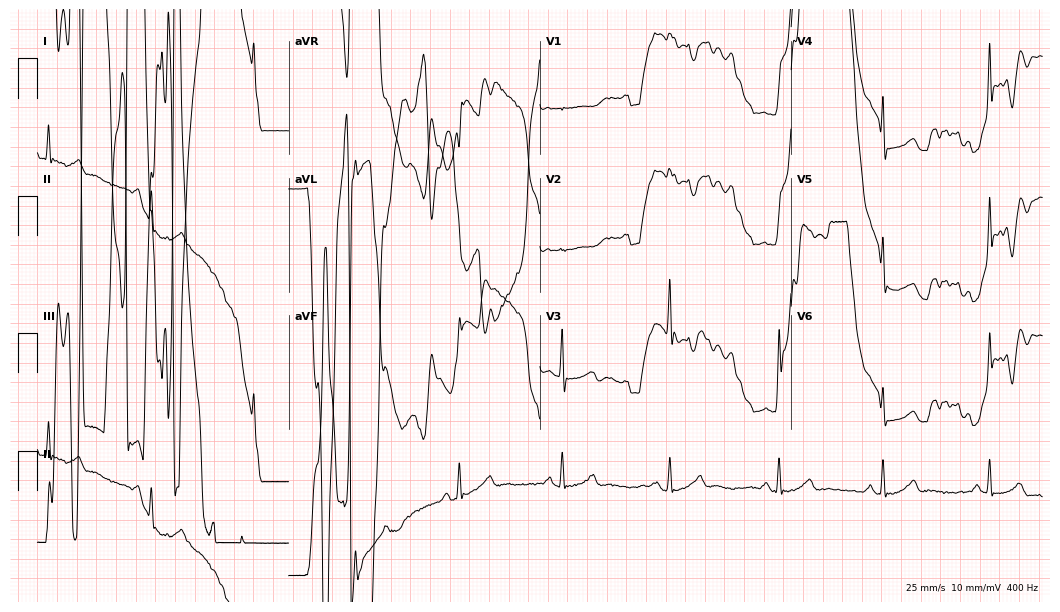
ECG (10.2-second recording at 400 Hz) — a 56-year-old female. Screened for six findings — first-degree AV block, right bundle branch block, left bundle branch block, sinus bradycardia, atrial fibrillation, sinus tachycardia — none is recorded. Findings outside these six are not listed.